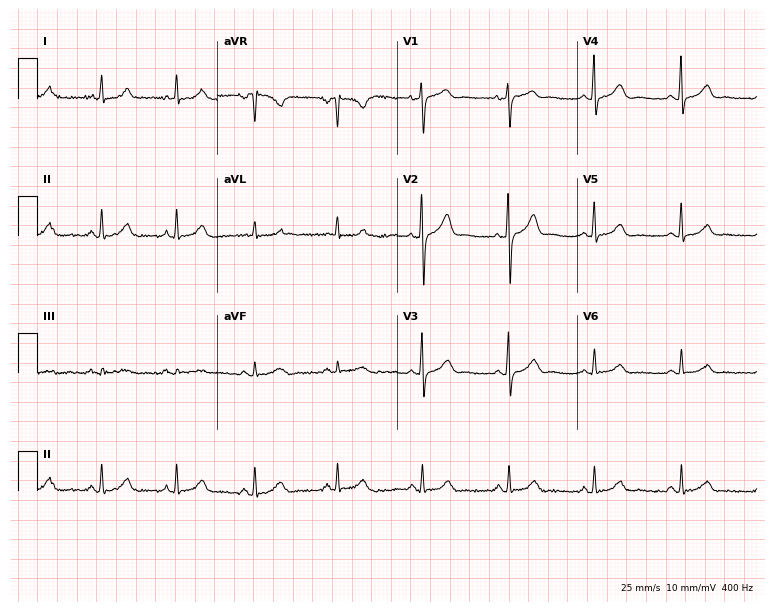
12-lead ECG (7.3-second recording at 400 Hz) from a 63-year-old woman. Labelled as a normal ECG.